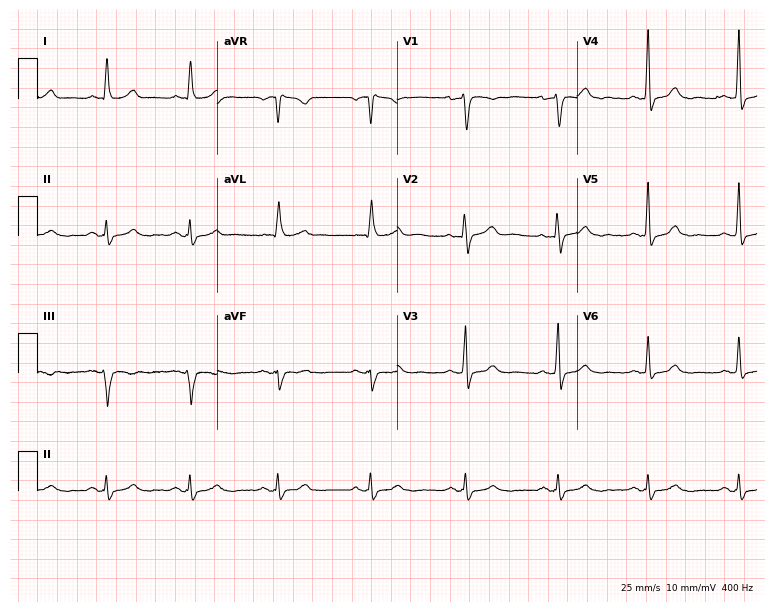
Standard 12-lead ECG recorded from a woman, 61 years old. None of these six findings is recorded: first-degree AV block, right bundle branch block (RBBB), left bundle branch block (LBBB), sinus bradycardia, atrial fibrillation (AF), sinus tachycardia.